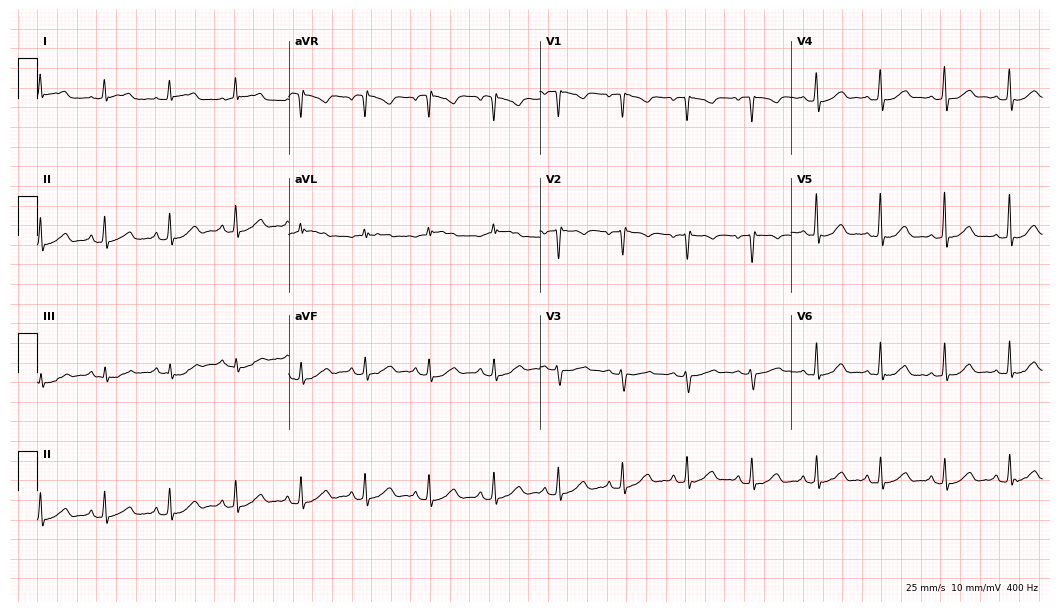
Resting 12-lead electrocardiogram. Patient: a 48-year-old woman. None of these six findings is recorded: first-degree AV block, right bundle branch block, left bundle branch block, sinus bradycardia, atrial fibrillation, sinus tachycardia. Only these six findings were labelled.